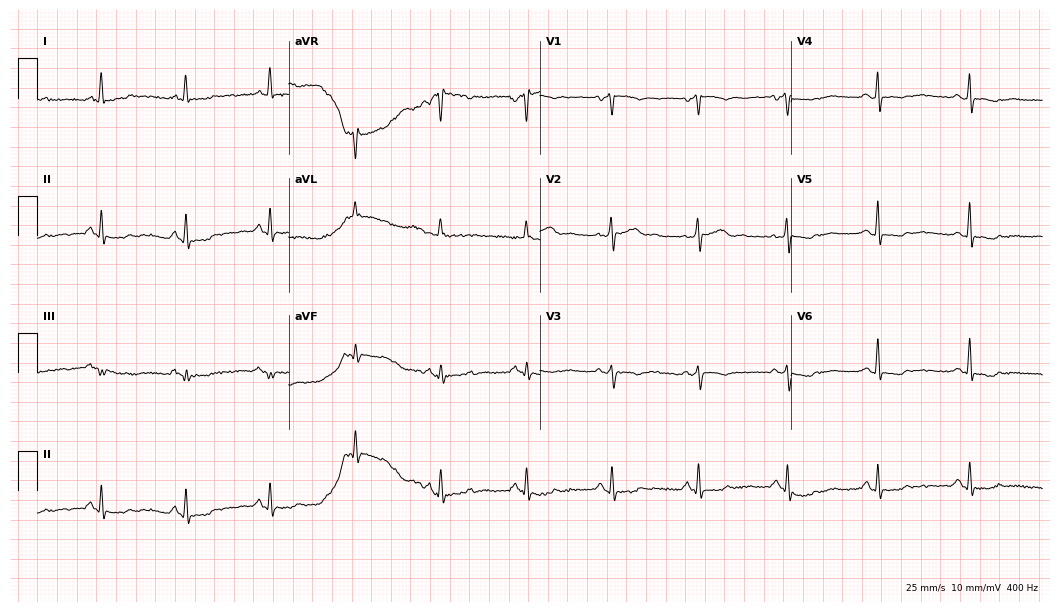
Resting 12-lead electrocardiogram (10.2-second recording at 400 Hz). Patient: a 56-year-old female. None of these six findings is recorded: first-degree AV block, right bundle branch block, left bundle branch block, sinus bradycardia, atrial fibrillation, sinus tachycardia. Findings outside these six are not listed.